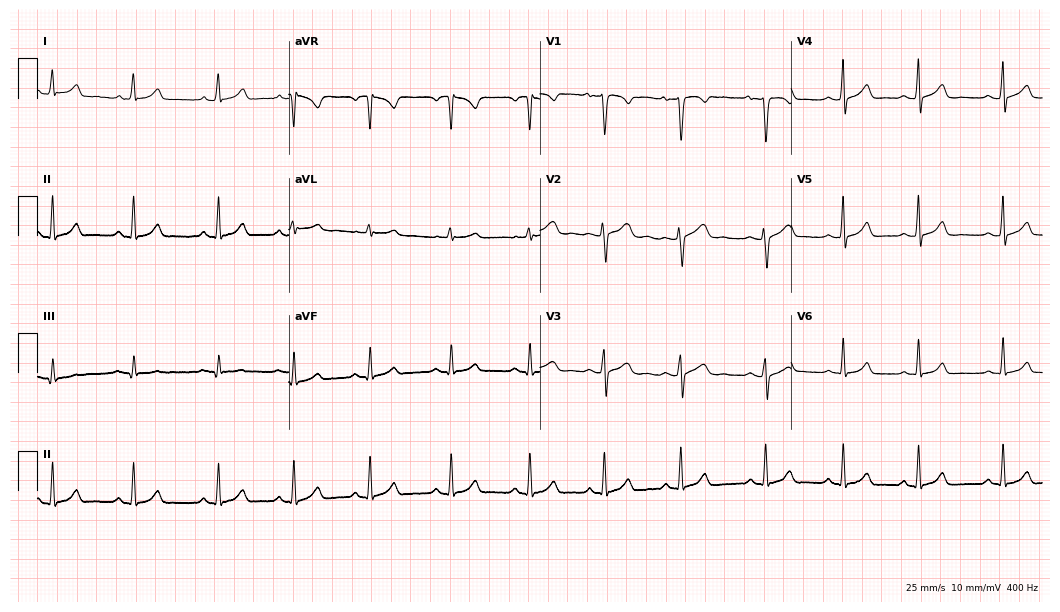
Standard 12-lead ECG recorded from a 20-year-old female patient. Read as a normal ECG.